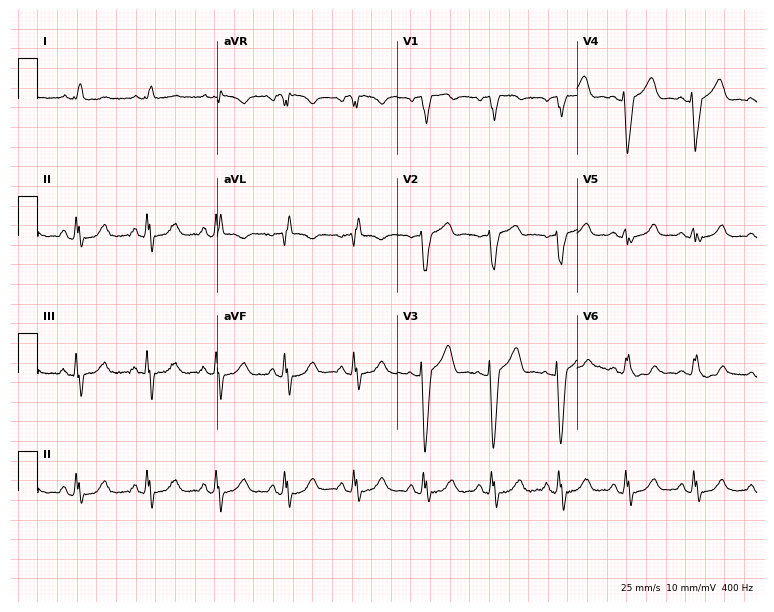
Resting 12-lead electrocardiogram. Patient: a 68-year-old woman. None of these six findings is recorded: first-degree AV block, right bundle branch block (RBBB), left bundle branch block (LBBB), sinus bradycardia, atrial fibrillation (AF), sinus tachycardia. Other findings, if any, are not listed.